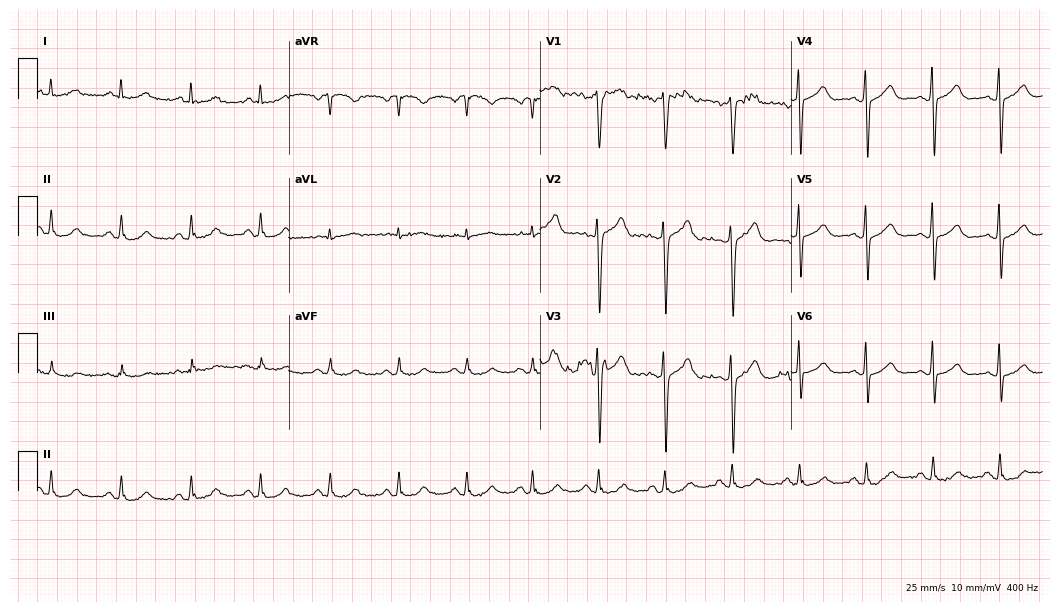
Electrocardiogram, a 48-year-old man. Overall reading on record: normal ECG.